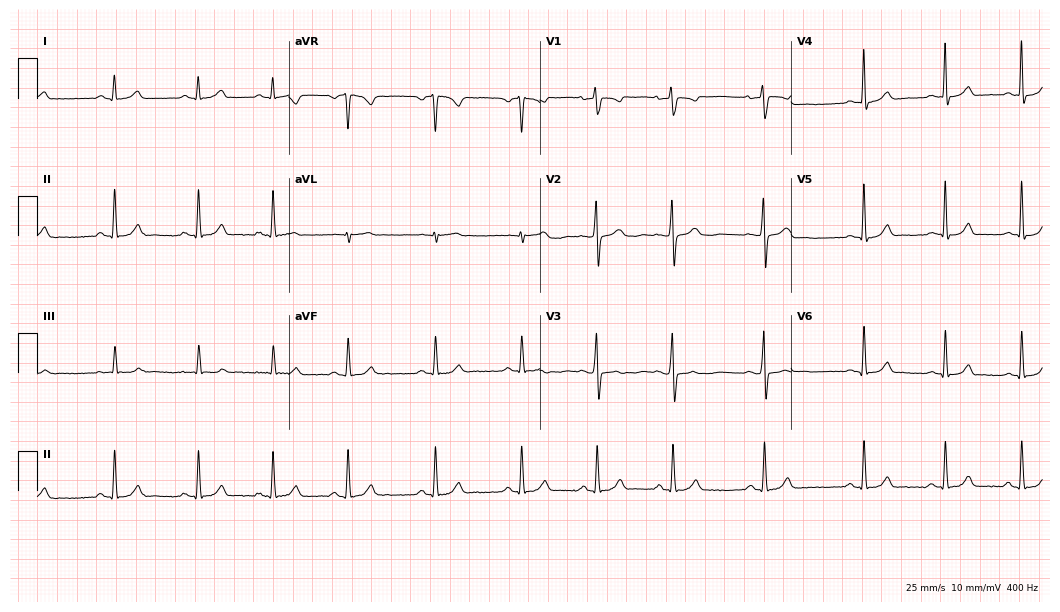
Electrocardiogram (10.2-second recording at 400 Hz), a female, 17 years old. Of the six screened findings (first-degree AV block, right bundle branch block (RBBB), left bundle branch block (LBBB), sinus bradycardia, atrial fibrillation (AF), sinus tachycardia), none is recorded.